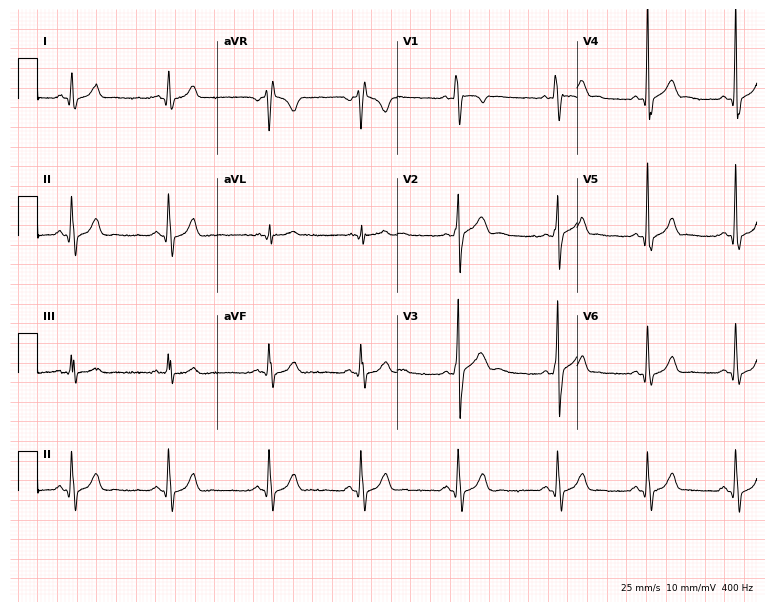
Electrocardiogram, a 27-year-old man. Of the six screened findings (first-degree AV block, right bundle branch block (RBBB), left bundle branch block (LBBB), sinus bradycardia, atrial fibrillation (AF), sinus tachycardia), none is recorded.